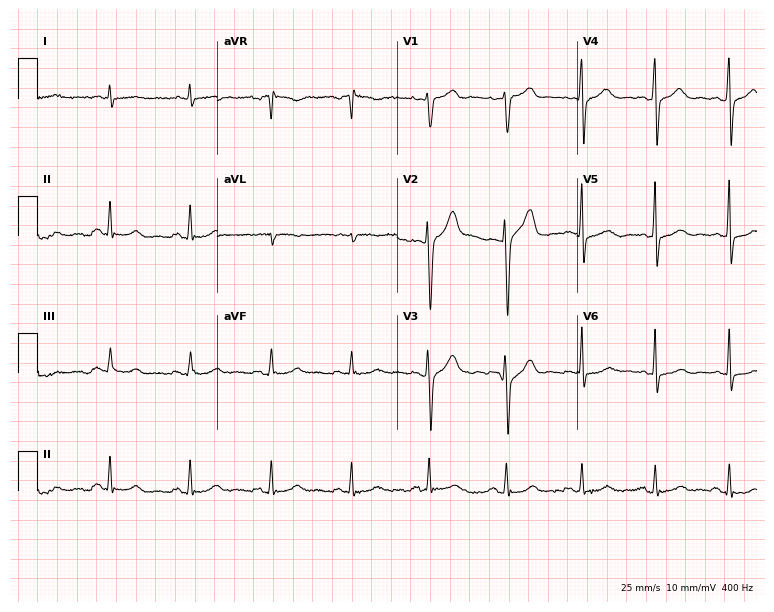
Standard 12-lead ECG recorded from a man, 54 years old (7.3-second recording at 400 Hz). None of these six findings is recorded: first-degree AV block, right bundle branch block (RBBB), left bundle branch block (LBBB), sinus bradycardia, atrial fibrillation (AF), sinus tachycardia.